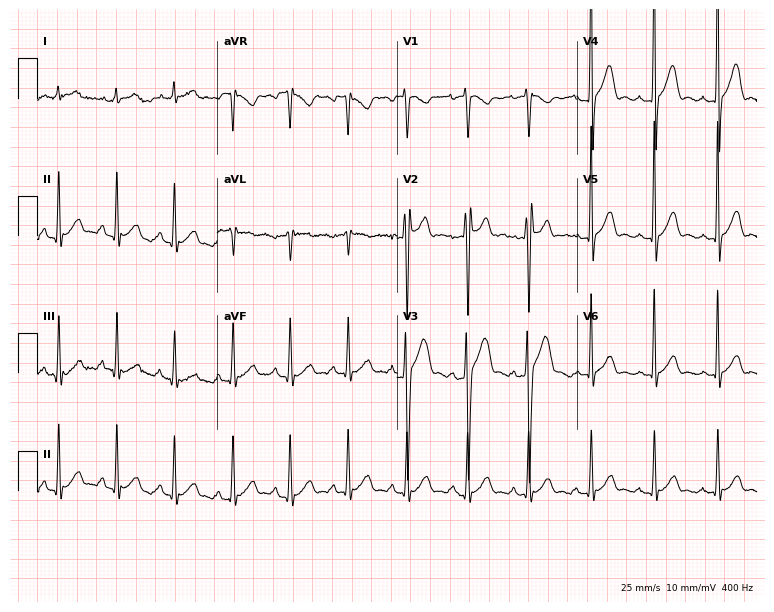
ECG (7.3-second recording at 400 Hz) — a 32-year-old man. Labelled as a normal ECG.